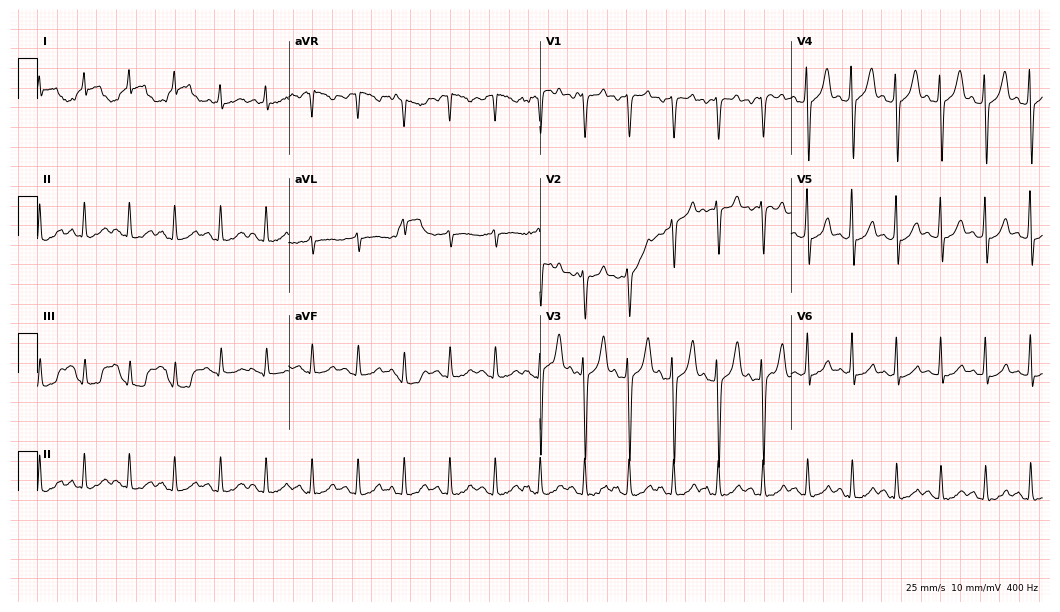
Standard 12-lead ECG recorded from a 44-year-old man. None of these six findings is recorded: first-degree AV block, right bundle branch block (RBBB), left bundle branch block (LBBB), sinus bradycardia, atrial fibrillation (AF), sinus tachycardia. Only these six findings were labelled.